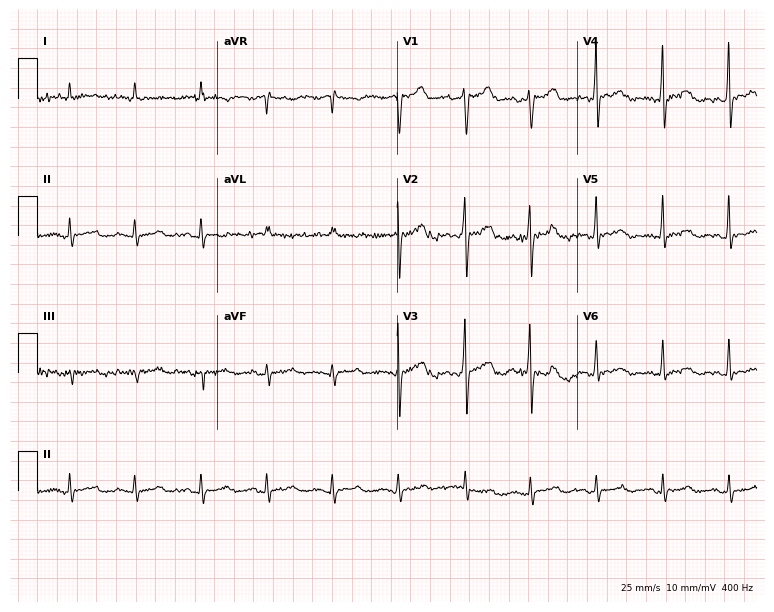
12-lead ECG from a man, 83 years old (7.3-second recording at 400 Hz). No first-degree AV block, right bundle branch block (RBBB), left bundle branch block (LBBB), sinus bradycardia, atrial fibrillation (AF) or sinus tachycardia recorded for this tracing. Only these six findings were labelled.